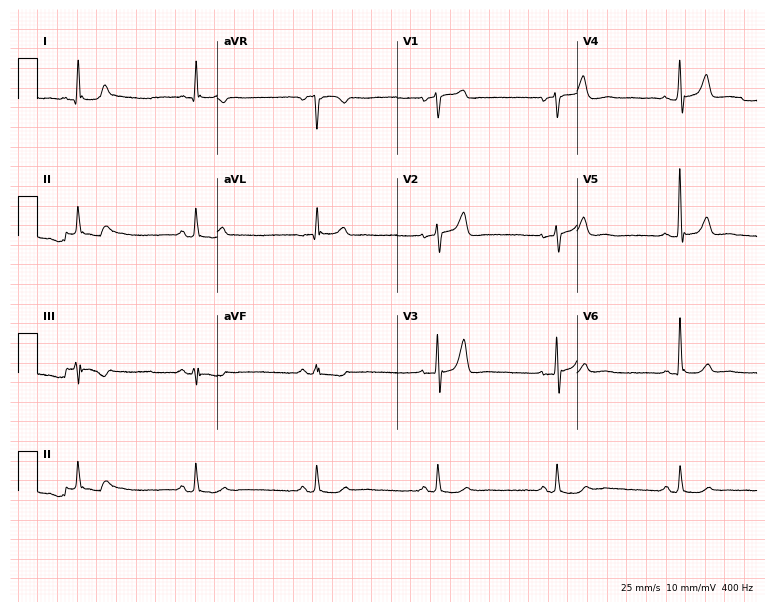
Electrocardiogram, a male patient, 68 years old. Interpretation includes sinus bradycardia (a sinus rate of 50 beats per minute or less).